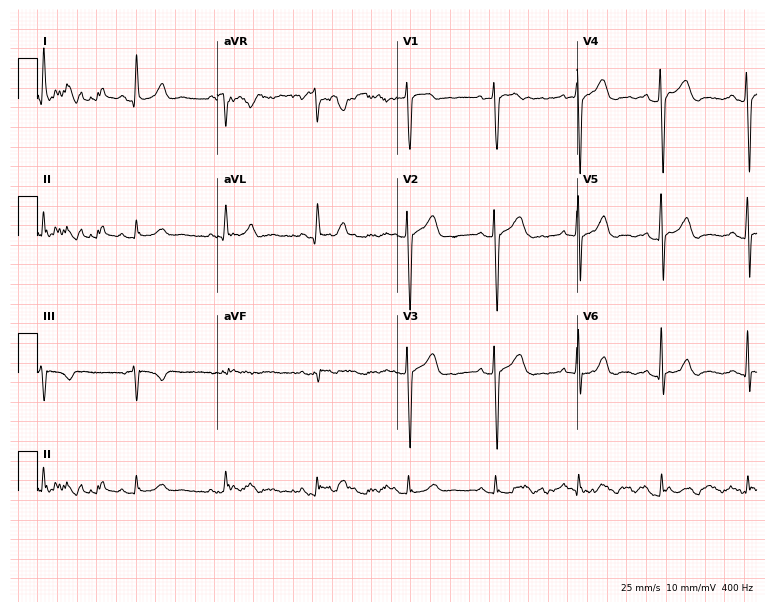
12-lead ECG from a male, 40 years old (7.3-second recording at 400 Hz). Recorded interpretation: within normal limits.